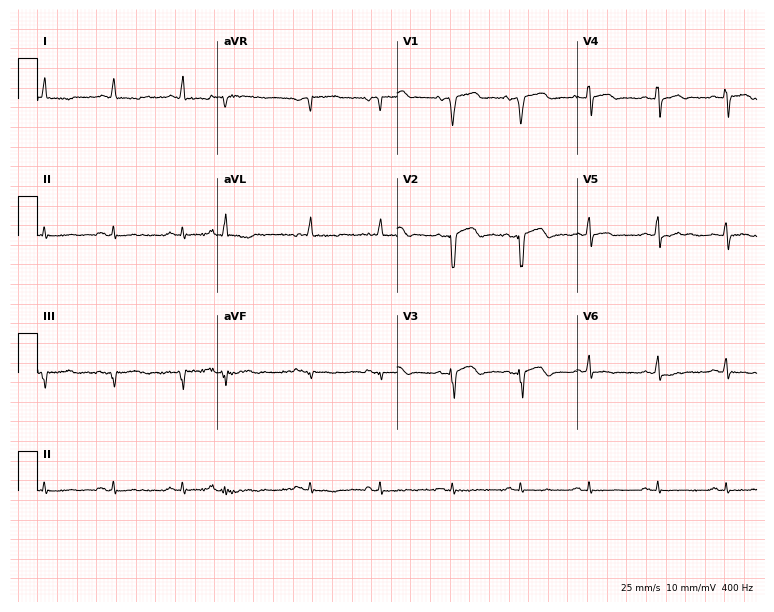
12-lead ECG from a male patient, 71 years old (7.3-second recording at 400 Hz). No first-degree AV block, right bundle branch block, left bundle branch block, sinus bradycardia, atrial fibrillation or sinus tachycardia recorded for this tracing. Only these six findings were labelled.